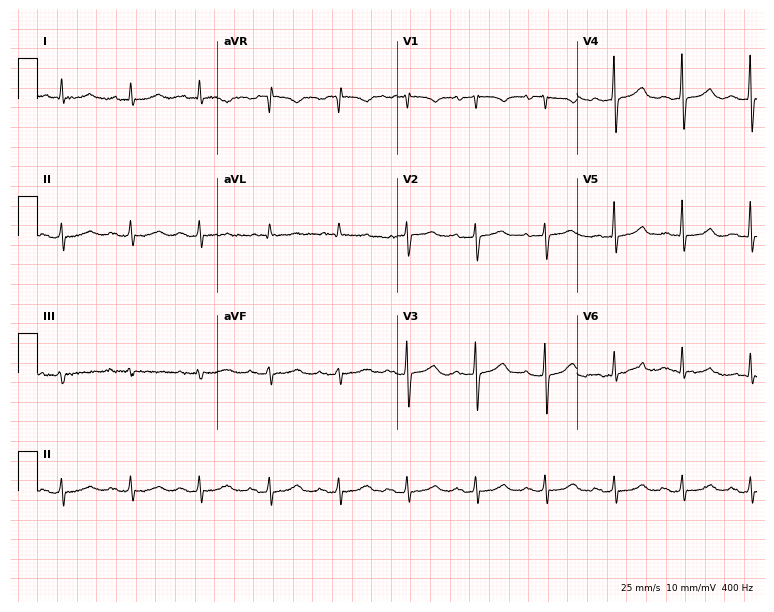
ECG — a 71-year-old woman. Labelled as a normal ECG.